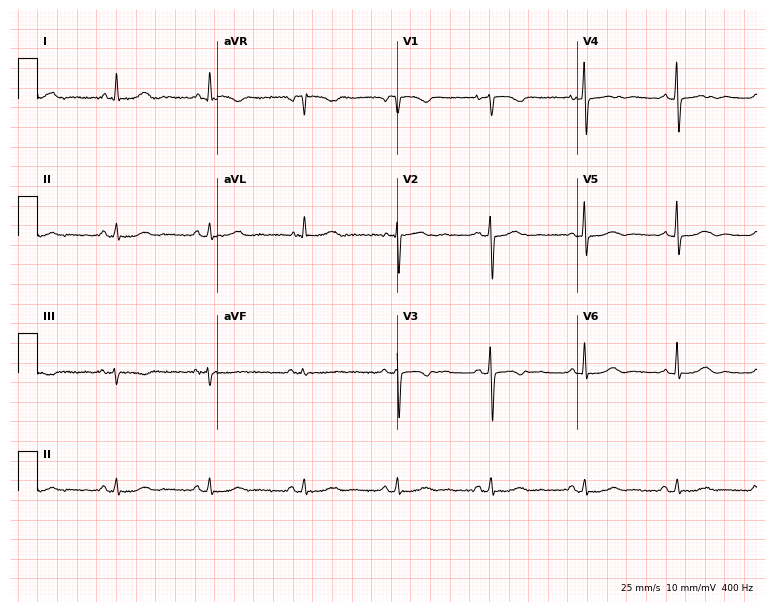
12-lead ECG from a female patient, 57 years old. Labelled as a normal ECG.